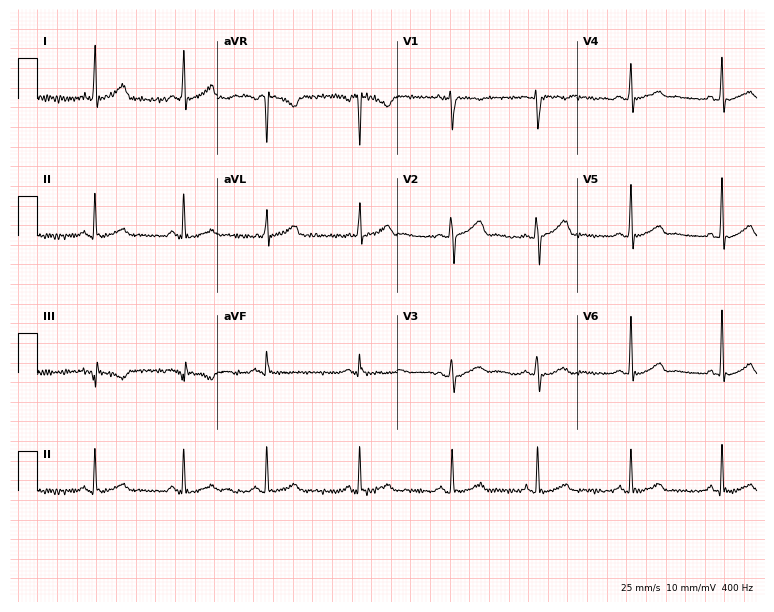
Standard 12-lead ECG recorded from a woman, 36 years old. Read as a normal ECG.